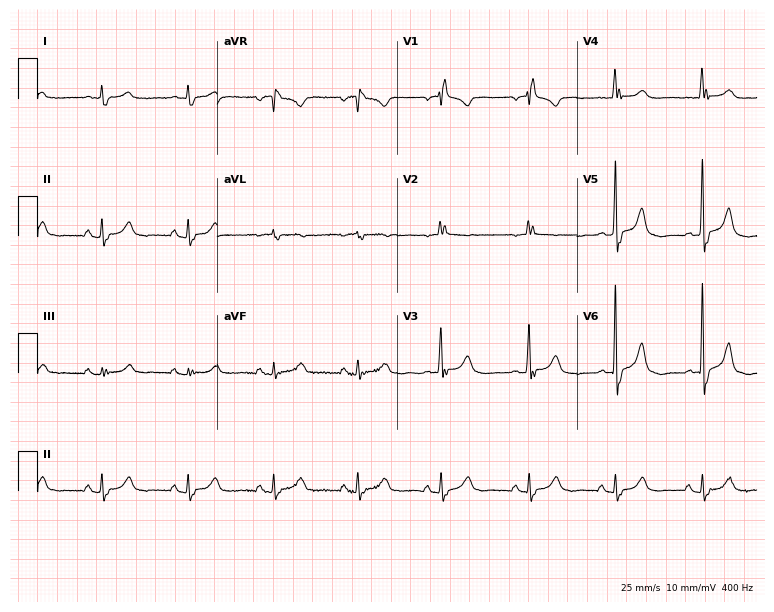
ECG (7.3-second recording at 400 Hz) — a woman, 78 years old. Screened for six findings — first-degree AV block, right bundle branch block, left bundle branch block, sinus bradycardia, atrial fibrillation, sinus tachycardia — none is recorded. Findings outside these six are not listed.